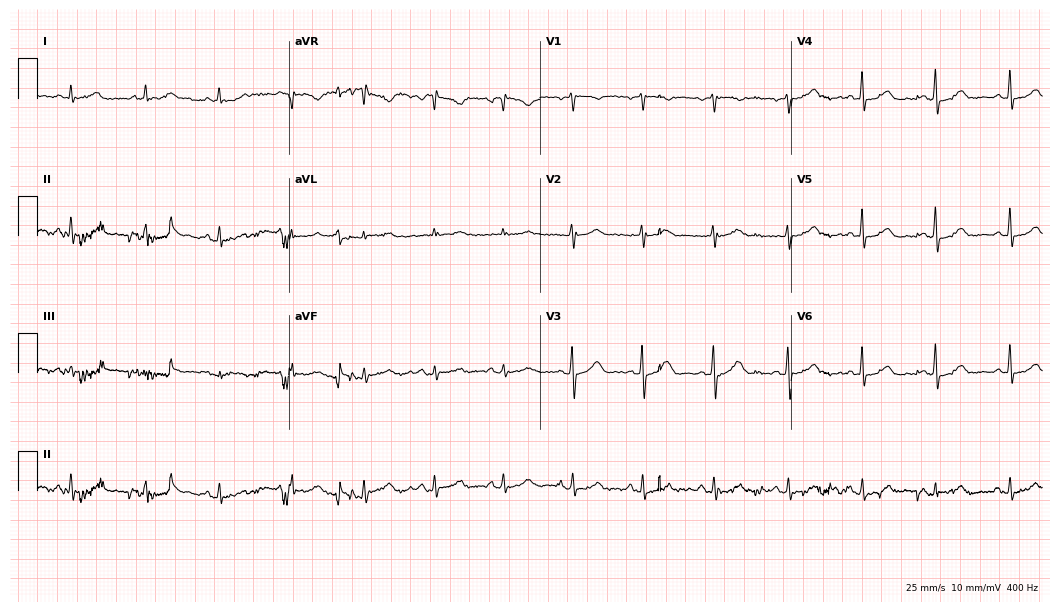
ECG — a 56-year-old female patient. Labelled as a normal ECG.